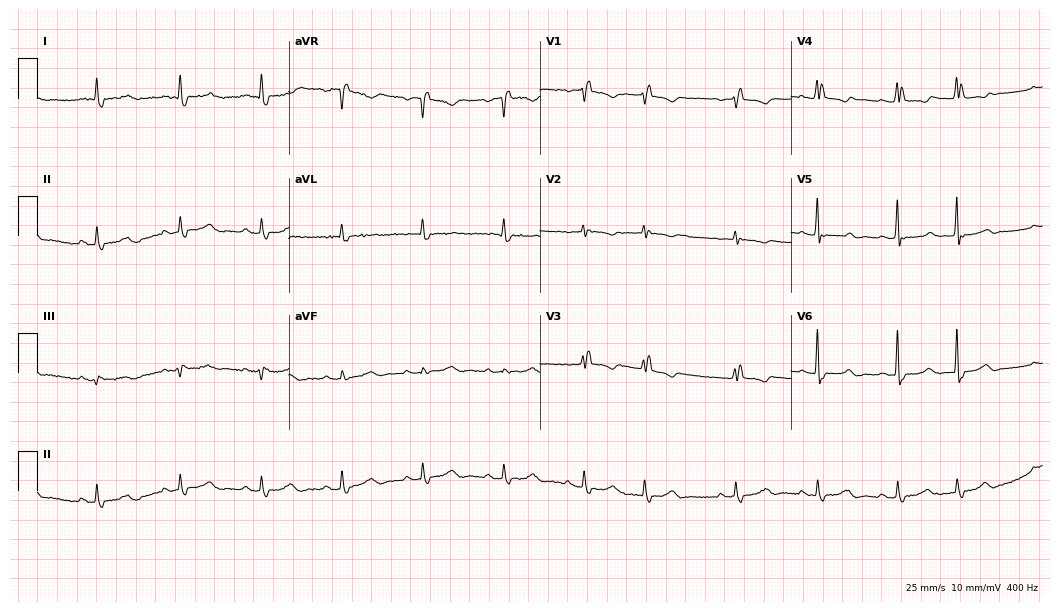
Electrocardiogram (10.2-second recording at 400 Hz), a 78-year-old woman. Of the six screened findings (first-degree AV block, right bundle branch block, left bundle branch block, sinus bradycardia, atrial fibrillation, sinus tachycardia), none is recorded.